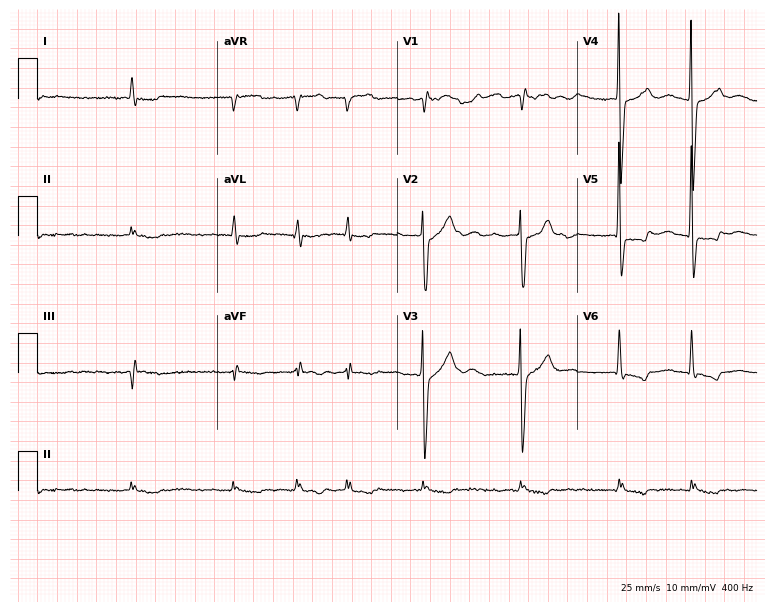
12-lead ECG from an 82-year-old woman (7.3-second recording at 400 Hz). Shows atrial fibrillation.